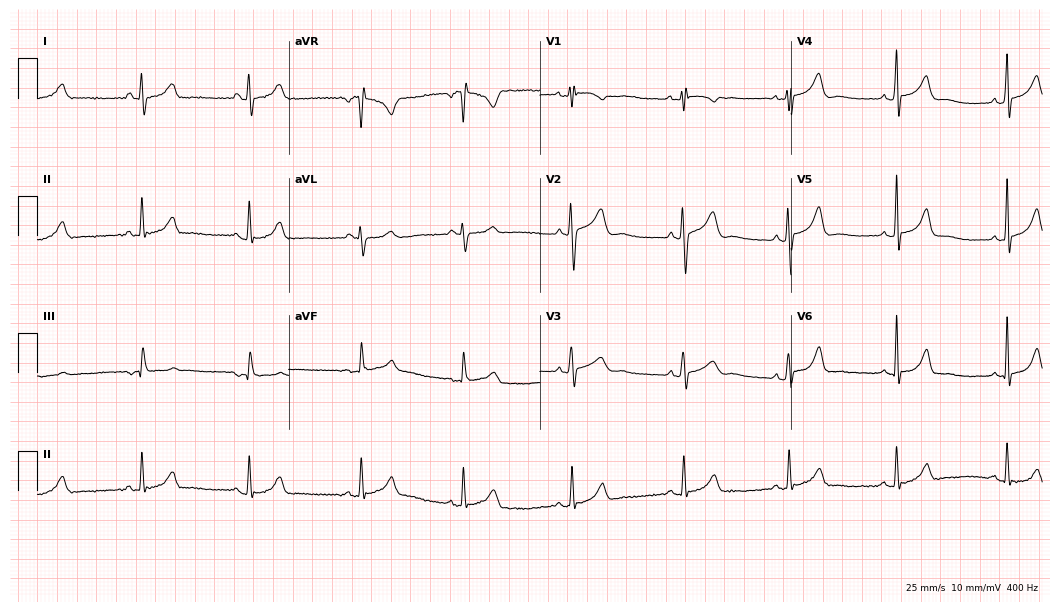
12-lead ECG from a female, 22 years old. Labelled as a normal ECG.